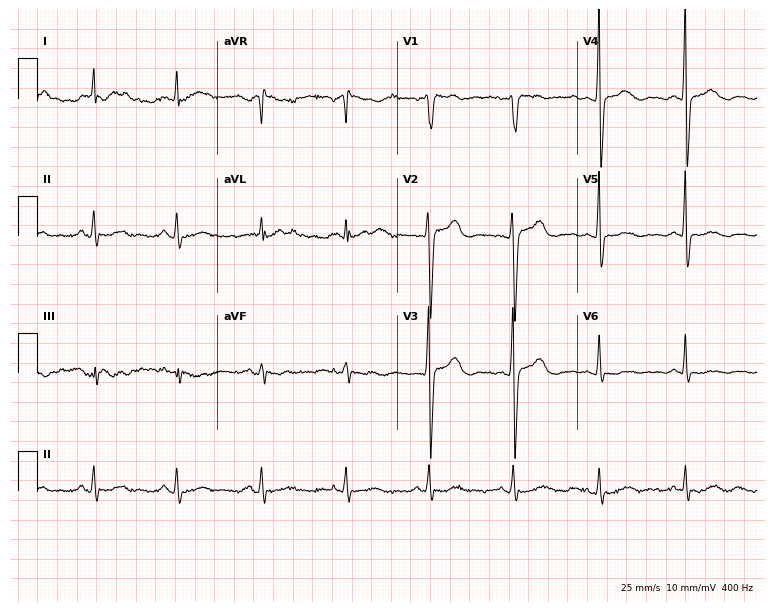
Electrocardiogram, a 54-year-old female. Of the six screened findings (first-degree AV block, right bundle branch block (RBBB), left bundle branch block (LBBB), sinus bradycardia, atrial fibrillation (AF), sinus tachycardia), none is recorded.